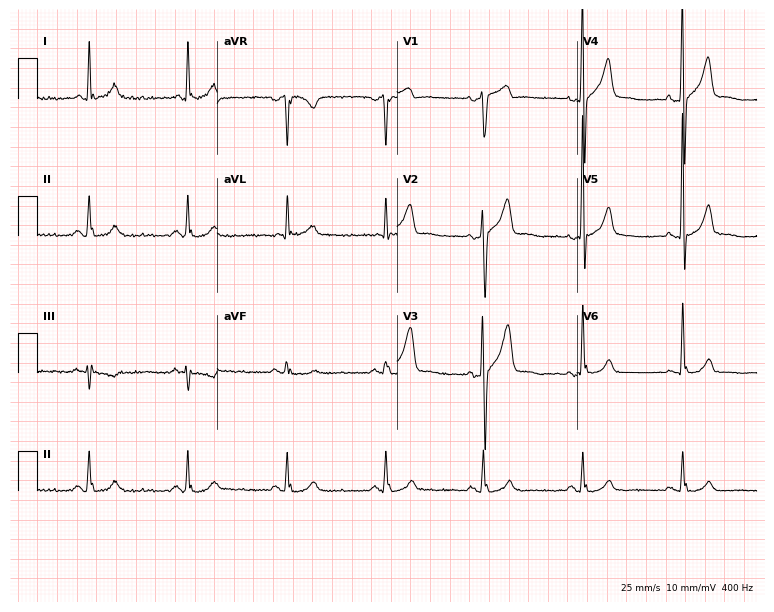
Electrocardiogram, a man, 61 years old. Of the six screened findings (first-degree AV block, right bundle branch block, left bundle branch block, sinus bradycardia, atrial fibrillation, sinus tachycardia), none is recorded. Only these six findings were labelled.